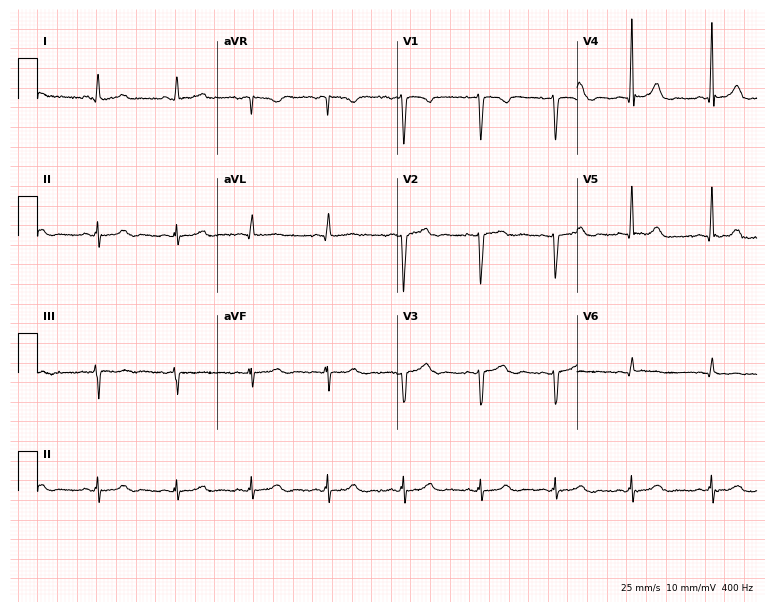
Resting 12-lead electrocardiogram (7.3-second recording at 400 Hz). Patient: a 35-year-old female. Read as a normal ECG.